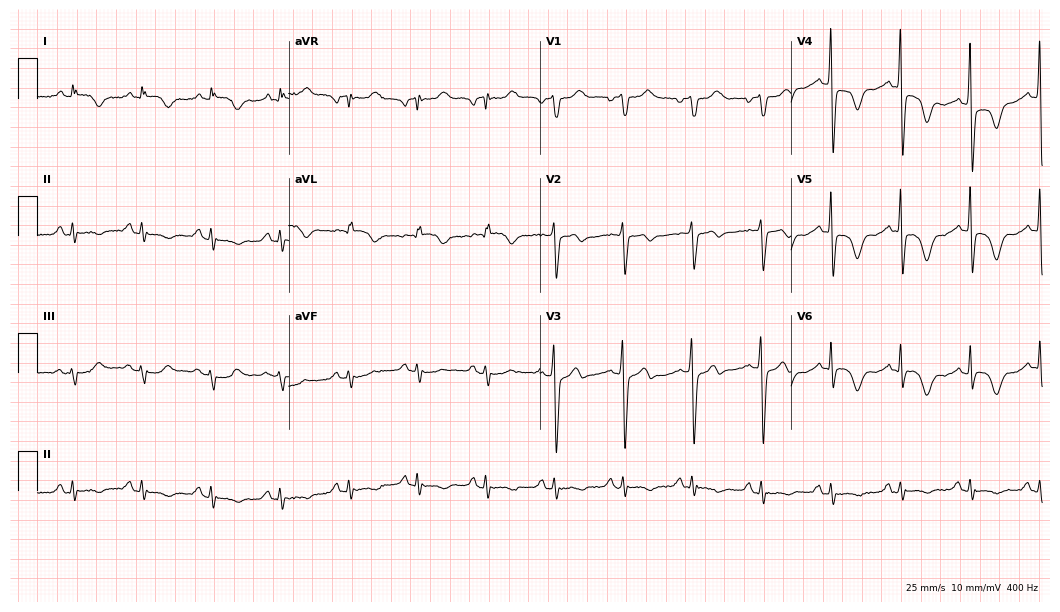
Electrocardiogram (10.2-second recording at 400 Hz), a male patient, 75 years old. Of the six screened findings (first-degree AV block, right bundle branch block (RBBB), left bundle branch block (LBBB), sinus bradycardia, atrial fibrillation (AF), sinus tachycardia), none is recorded.